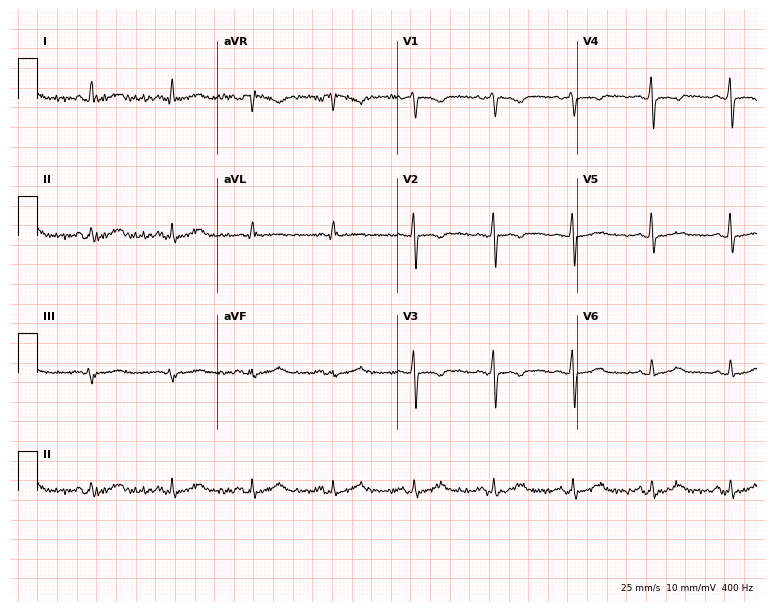
ECG — a female patient, 41 years old. Screened for six findings — first-degree AV block, right bundle branch block (RBBB), left bundle branch block (LBBB), sinus bradycardia, atrial fibrillation (AF), sinus tachycardia — none is recorded. Findings outside these six are not listed.